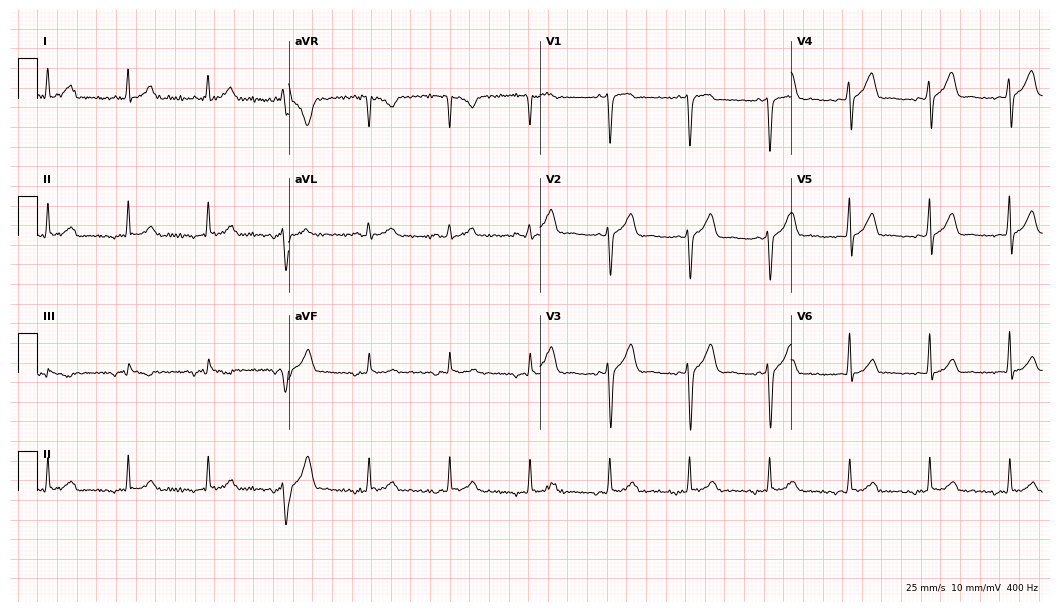
12-lead ECG from a male, 45 years old (10.2-second recording at 400 Hz). No first-degree AV block, right bundle branch block, left bundle branch block, sinus bradycardia, atrial fibrillation or sinus tachycardia recorded for this tracing.